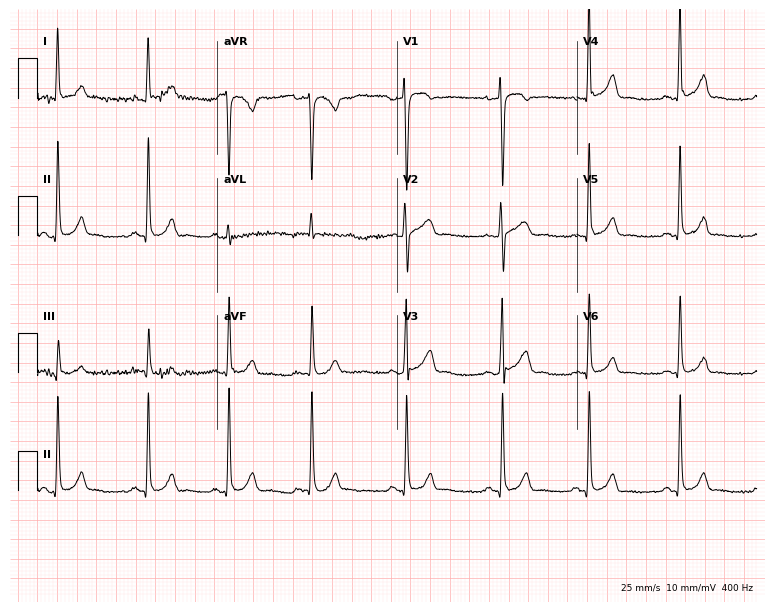
Resting 12-lead electrocardiogram (7.3-second recording at 400 Hz). Patient: a woman, 25 years old. Read as a normal ECG.